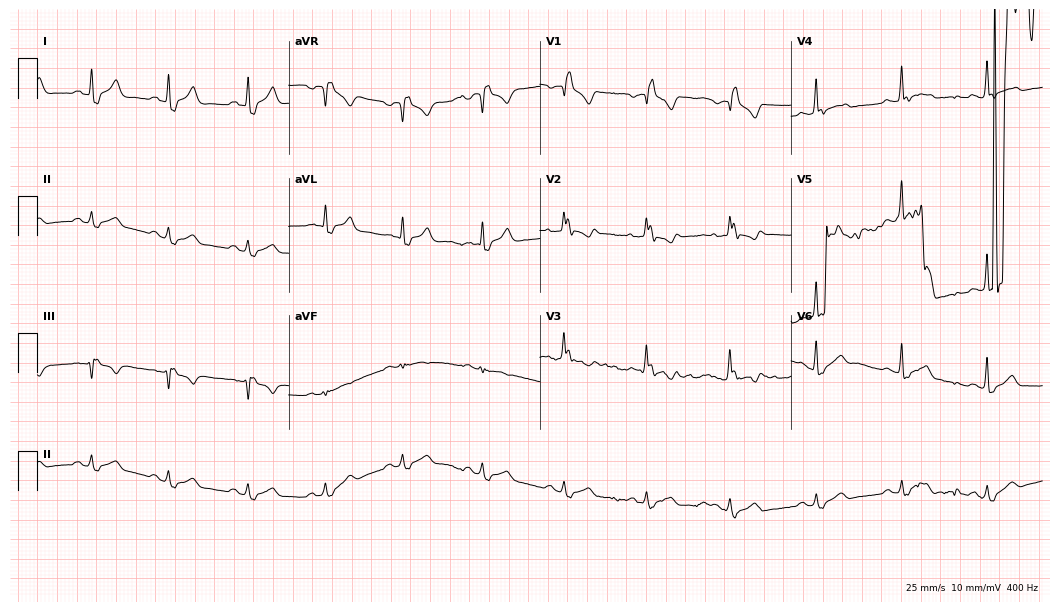
12-lead ECG from a 50-year-old male. Screened for six findings — first-degree AV block, right bundle branch block, left bundle branch block, sinus bradycardia, atrial fibrillation, sinus tachycardia — none is recorded.